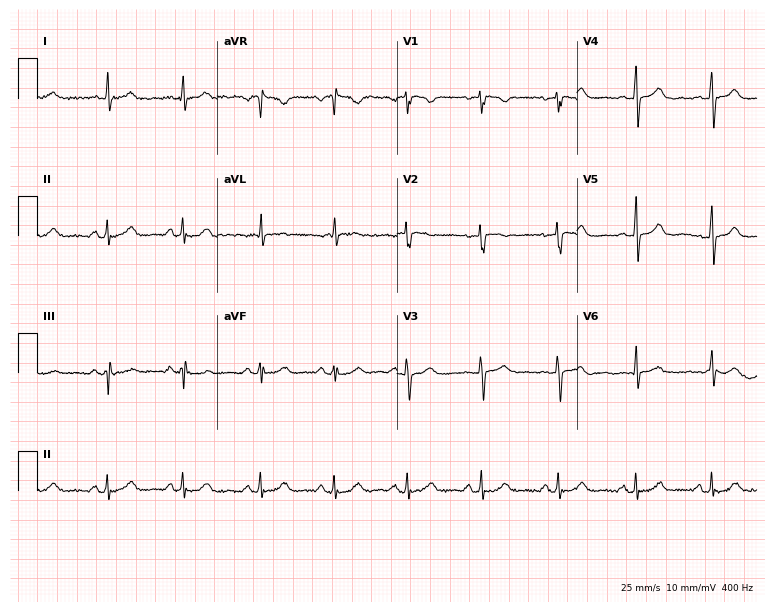
12-lead ECG (7.3-second recording at 400 Hz) from a 42-year-old woman. Screened for six findings — first-degree AV block, right bundle branch block, left bundle branch block, sinus bradycardia, atrial fibrillation, sinus tachycardia — none is recorded.